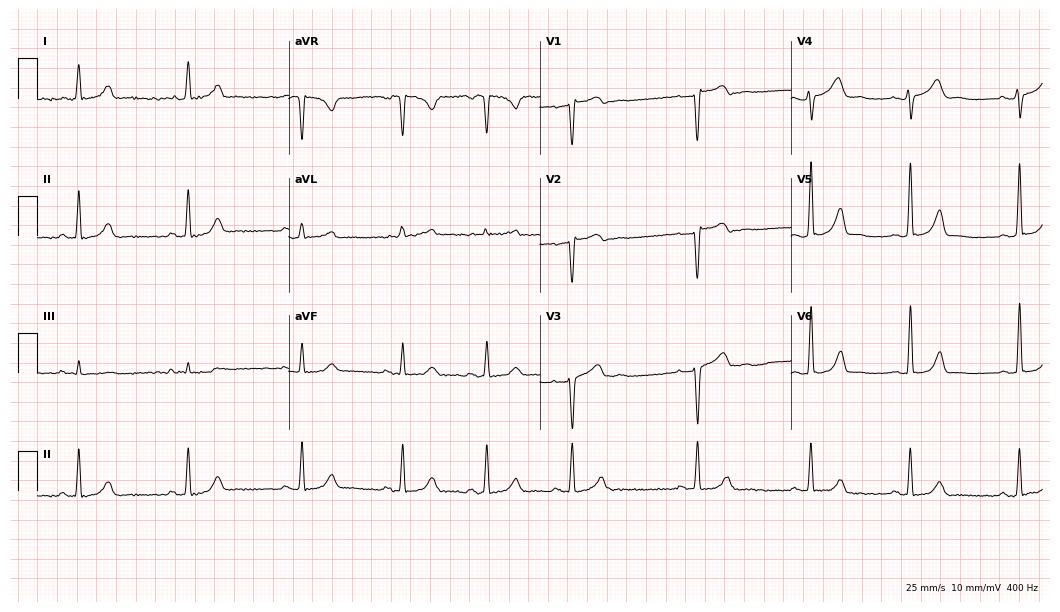
ECG — a female, 36 years old. Screened for six findings — first-degree AV block, right bundle branch block, left bundle branch block, sinus bradycardia, atrial fibrillation, sinus tachycardia — none is recorded.